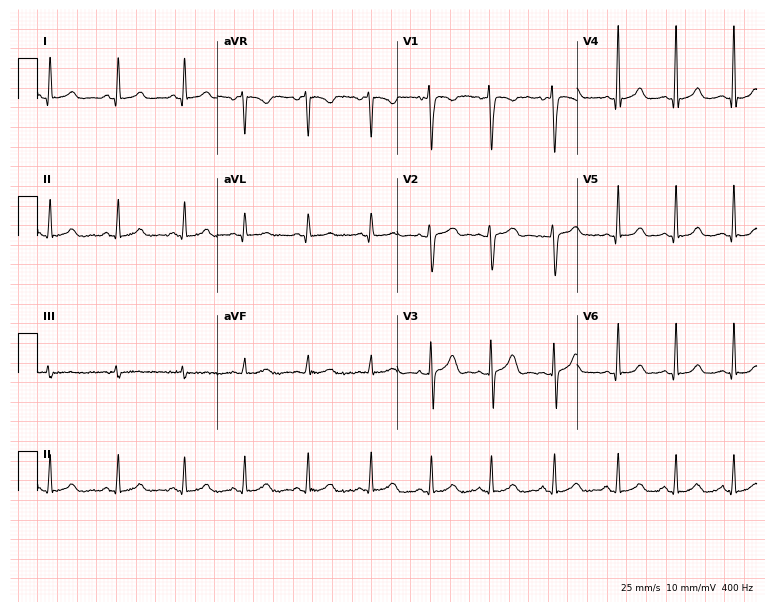
Standard 12-lead ECG recorded from a 23-year-old woman (7.3-second recording at 400 Hz). None of these six findings is recorded: first-degree AV block, right bundle branch block (RBBB), left bundle branch block (LBBB), sinus bradycardia, atrial fibrillation (AF), sinus tachycardia.